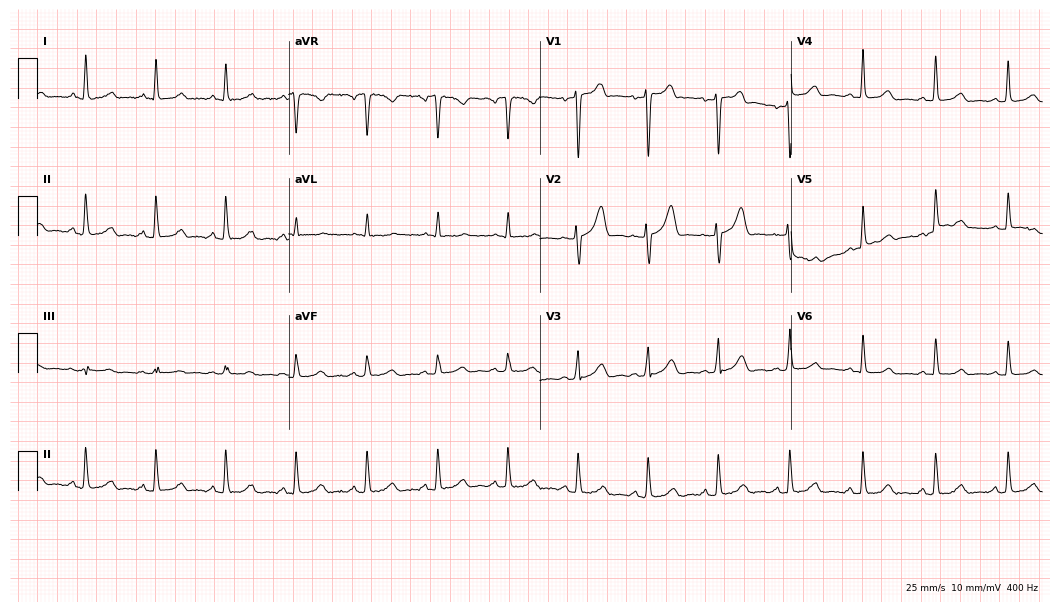
Resting 12-lead electrocardiogram (10.2-second recording at 400 Hz). Patient: a 60-year-old woman. None of these six findings is recorded: first-degree AV block, right bundle branch block, left bundle branch block, sinus bradycardia, atrial fibrillation, sinus tachycardia. Findings outside these six are not listed.